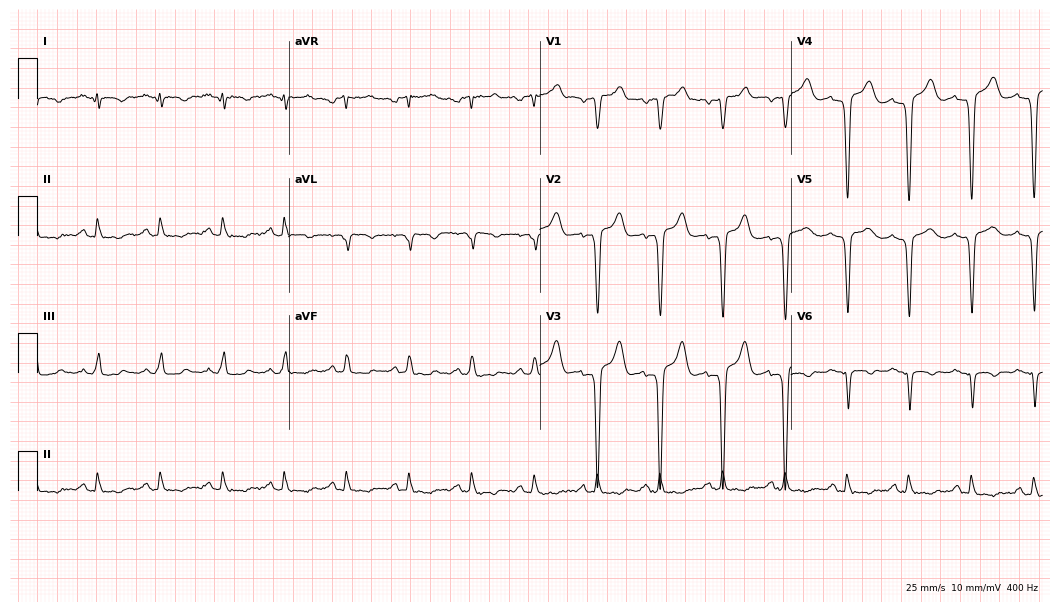
Electrocardiogram (10.2-second recording at 400 Hz), a 45-year-old man. Of the six screened findings (first-degree AV block, right bundle branch block (RBBB), left bundle branch block (LBBB), sinus bradycardia, atrial fibrillation (AF), sinus tachycardia), none is recorded. Other findings, if any, are not listed.